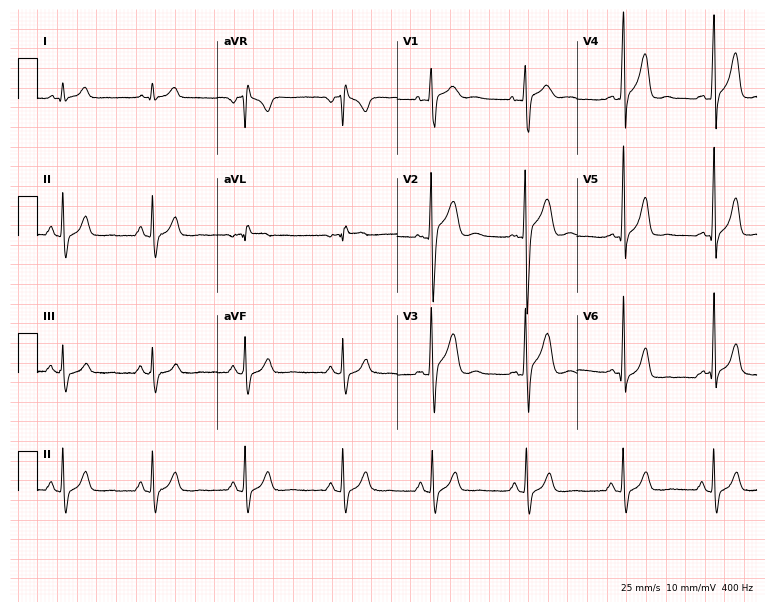
Standard 12-lead ECG recorded from a 21-year-old male patient (7.3-second recording at 400 Hz). Read as a normal ECG.